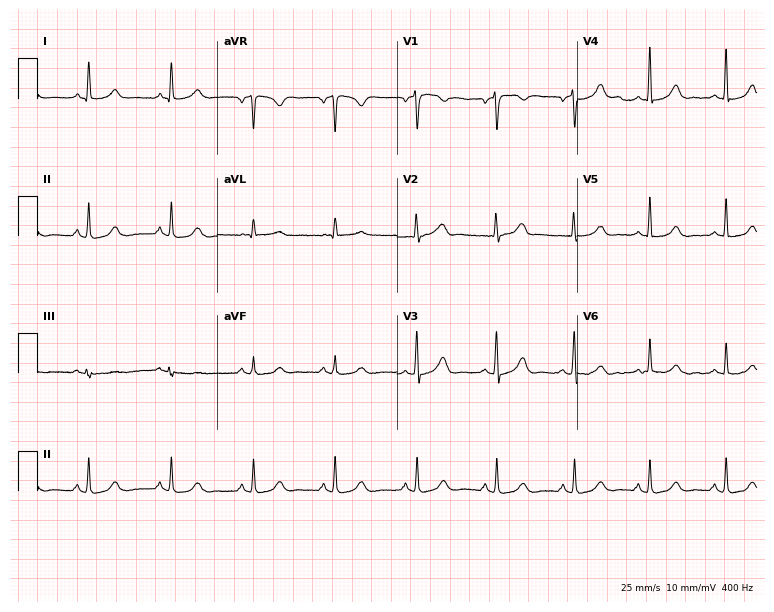
Resting 12-lead electrocardiogram. Patient: a female, 64 years old. Read as a normal ECG.